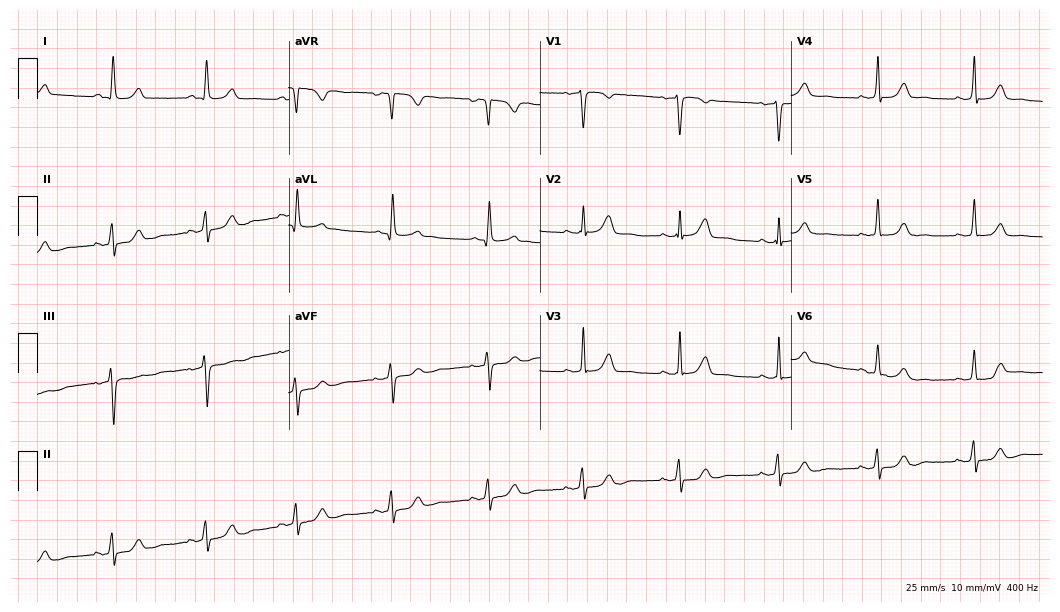
Standard 12-lead ECG recorded from a woman, 61 years old. None of these six findings is recorded: first-degree AV block, right bundle branch block, left bundle branch block, sinus bradycardia, atrial fibrillation, sinus tachycardia.